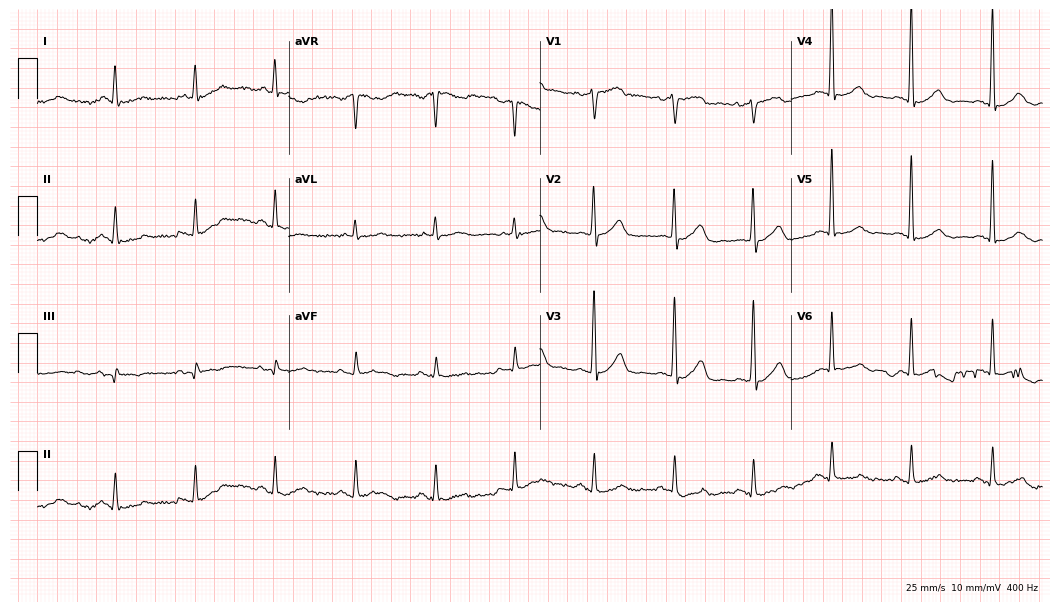
12-lead ECG from a man, 75 years old (10.2-second recording at 400 Hz). No first-degree AV block, right bundle branch block, left bundle branch block, sinus bradycardia, atrial fibrillation or sinus tachycardia recorded for this tracing. Findings outside these six are not listed.